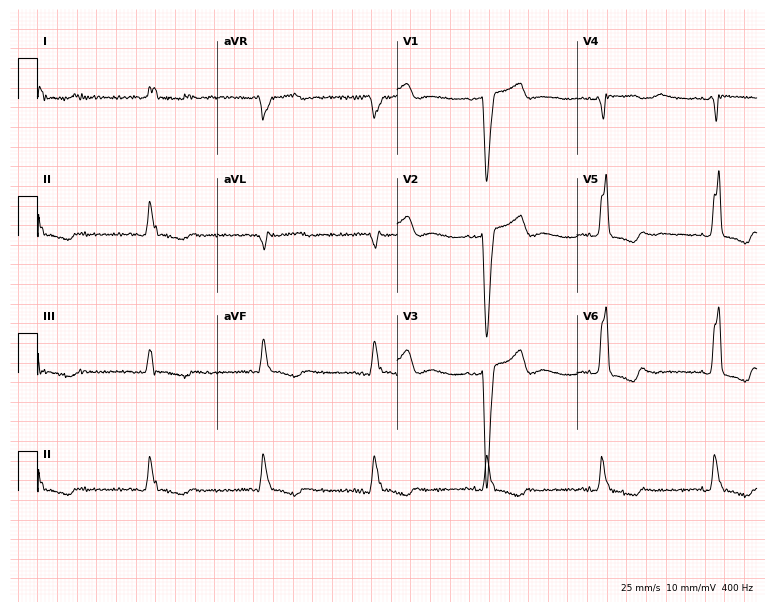
ECG (7.3-second recording at 400 Hz) — a 70-year-old female. Screened for six findings — first-degree AV block, right bundle branch block, left bundle branch block, sinus bradycardia, atrial fibrillation, sinus tachycardia — none is recorded. Findings outside these six are not listed.